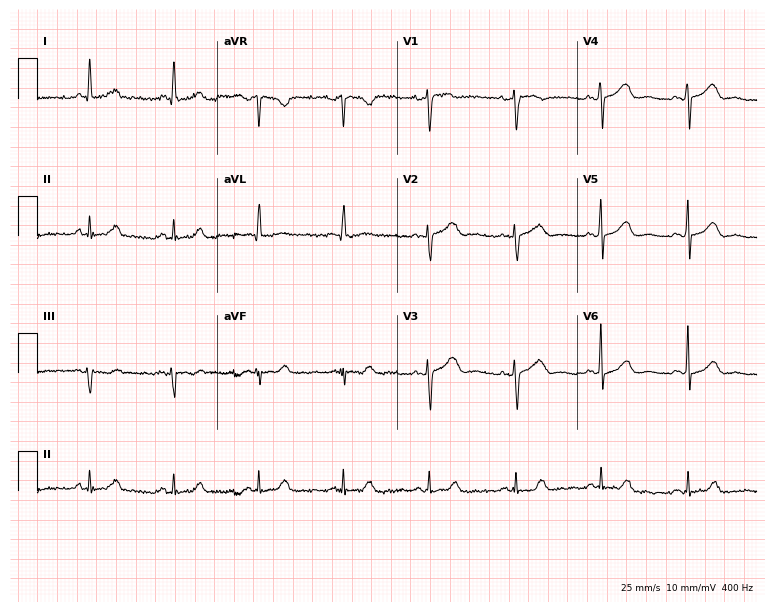
12-lead ECG from a 59-year-old female patient. Labelled as a normal ECG.